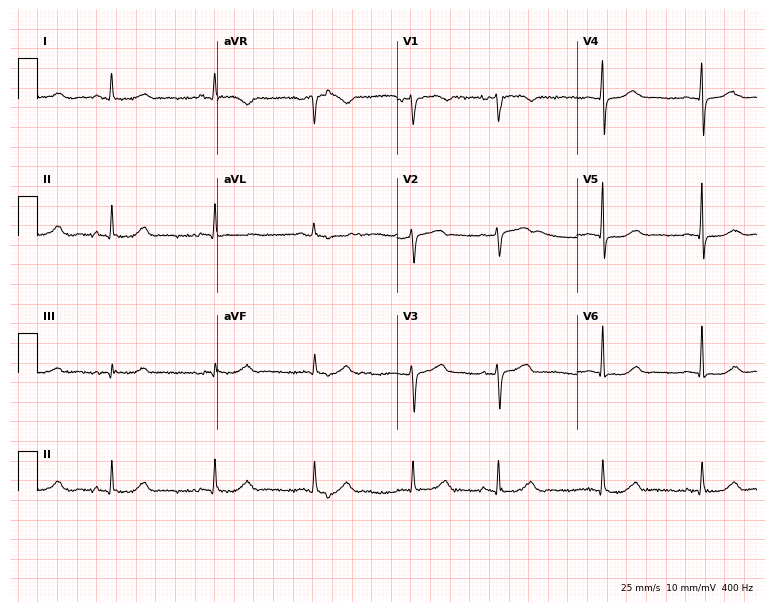
Electrocardiogram, a female, 64 years old. Of the six screened findings (first-degree AV block, right bundle branch block, left bundle branch block, sinus bradycardia, atrial fibrillation, sinus tachycardia), none is recorded.